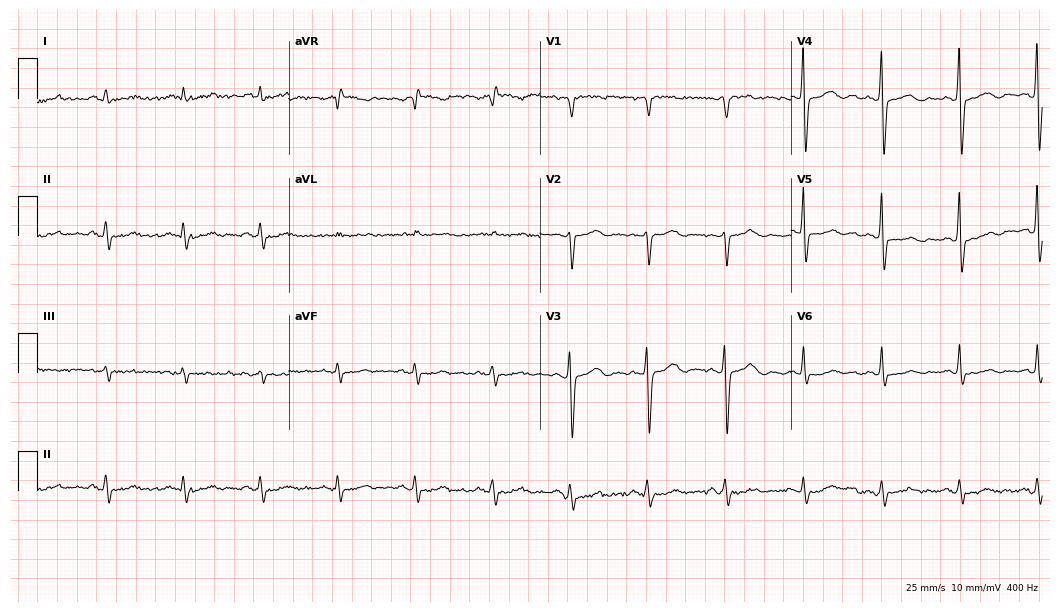
Standard 12-lead ECG recorded from a male, 70 years old. Read as a normal ECG.